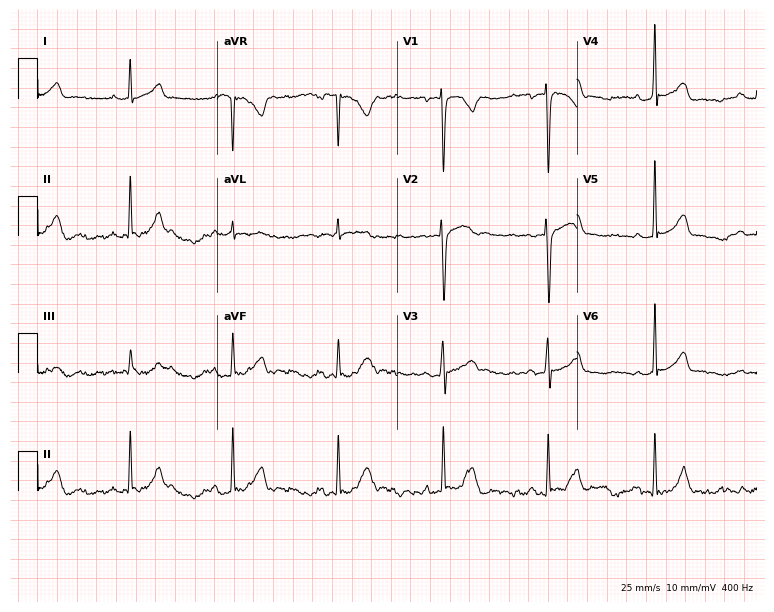
Standard 12-lead ECG recorded from a male patient, 25 years old. Read as a normal ECG.